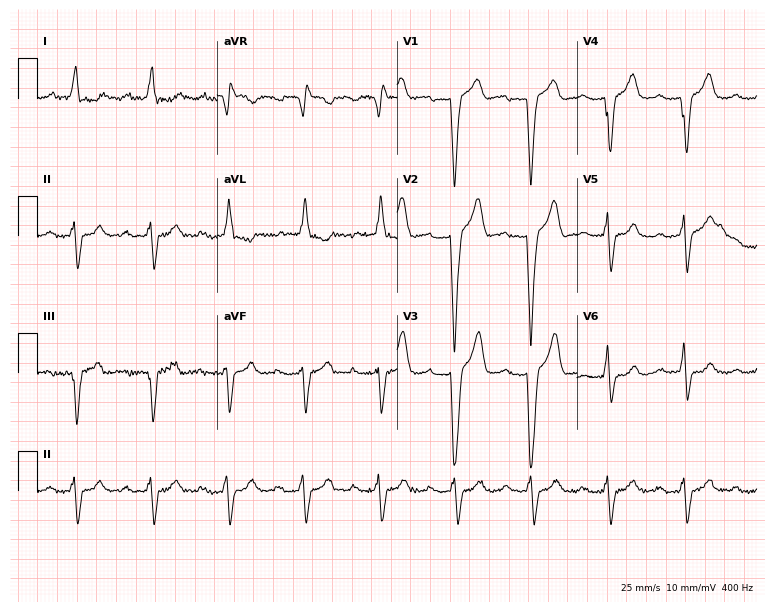
ECG — a female, 83 years old. Findings include first-degree AV block, left bundle branch block (LBBB).